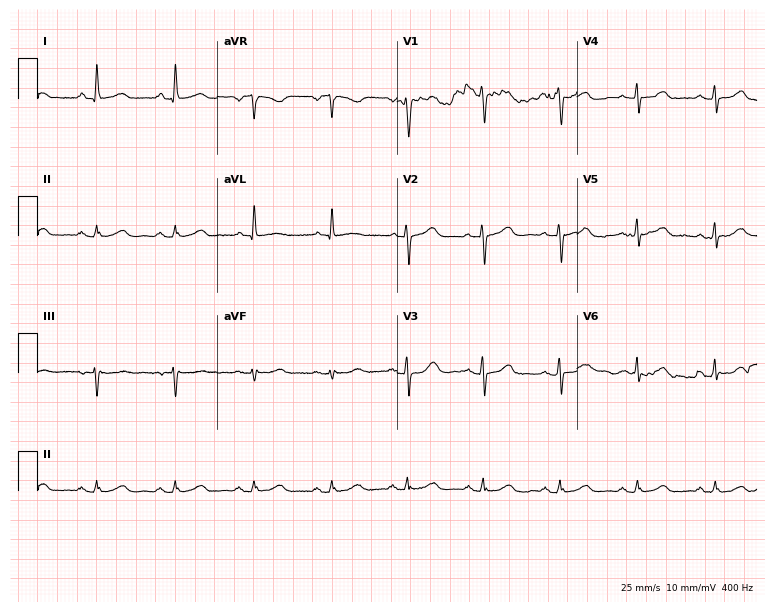
ECG (7.3-second recording at 400 Hz) — a woman, 54 years old. Labelled as a normal ECG.